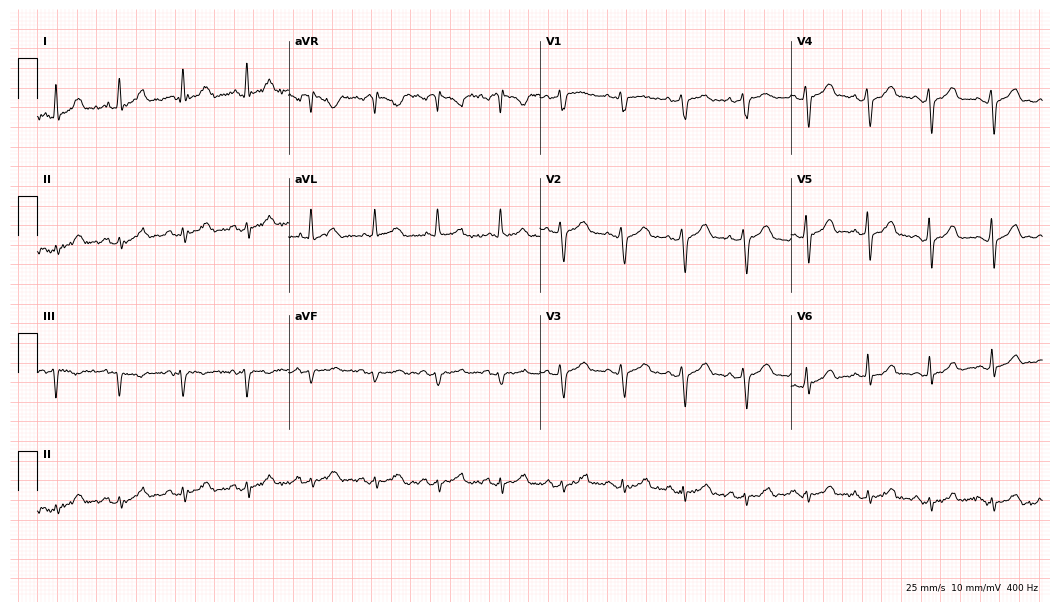
12-lead ECG from a man, 45 years old (10.2-second recording at 400 Hz). No first-degree AV block, right bundle branch block, left bundle branch block, sinus bradycardia, atrial fibrillation or sinus tachycardia recorded for this tracing.